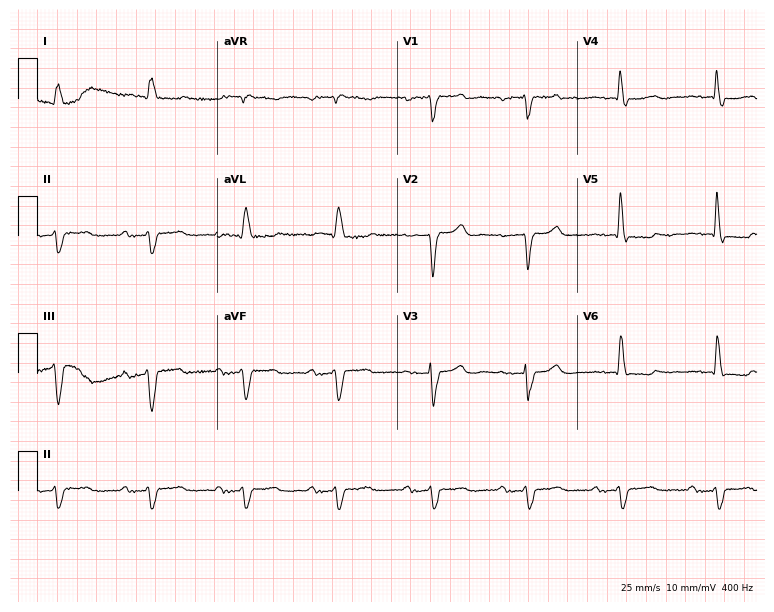
ECG (7.3-second recording at 400 Hz) — a 78-year-old man. Findings include first-degree AV block, left bundle branch block.